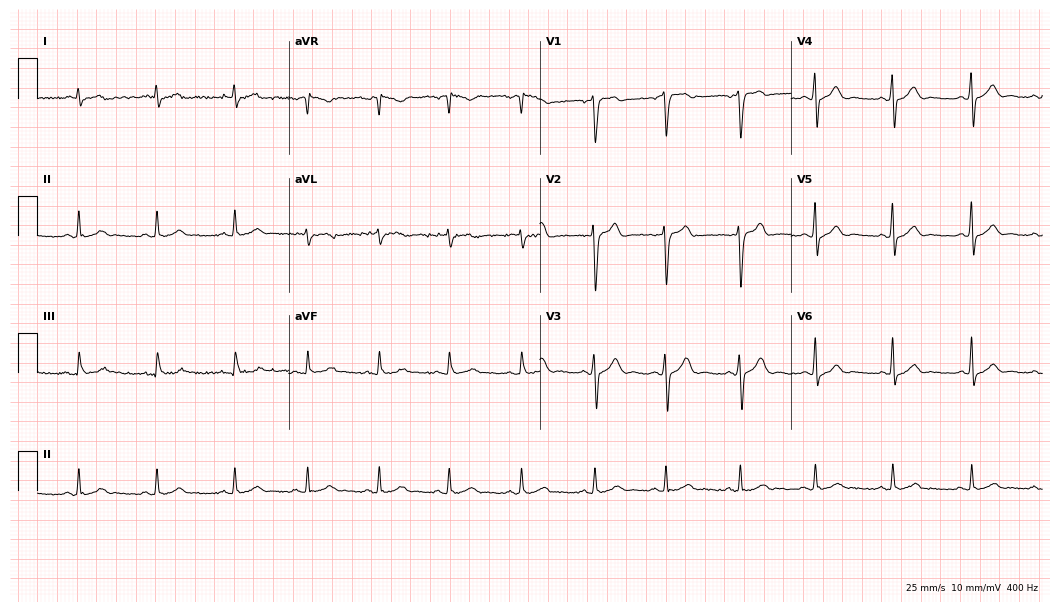
ECG — a male, 28 years old. Labelled as a normal ECG.